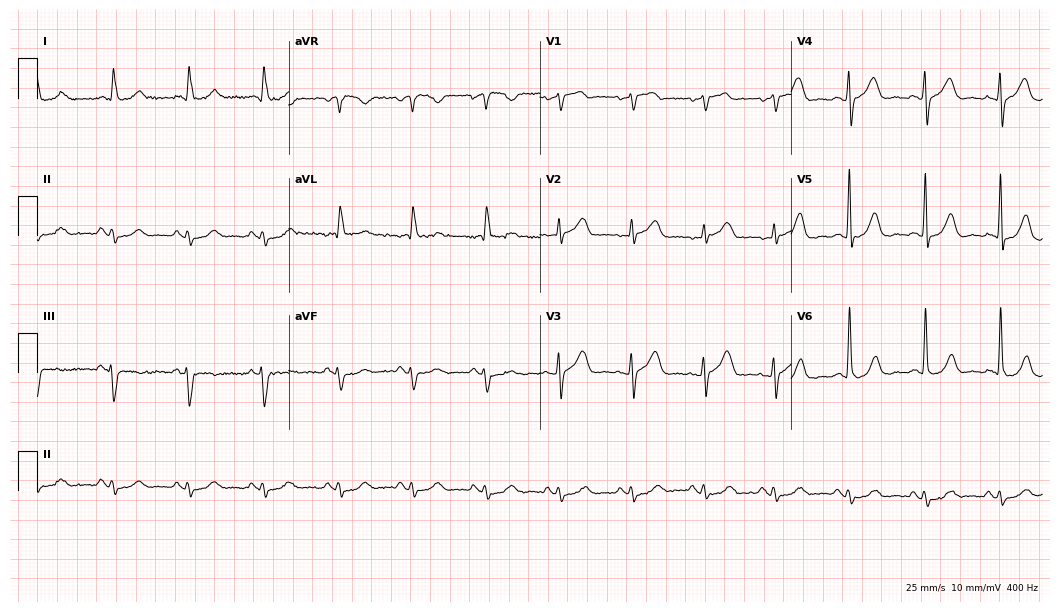
Standard 12-lead ECG recorded from a 79-year-old female patient (10.2-second recording at 400 Hz). None of these six findings is recorded: first-degree AV block, right bundle branch block (RBBB), left bundle branch block (LBBB), sinus bradycardia, atrial fibrillation (AF), sinus tachycardia. Only these six findings were labelled.